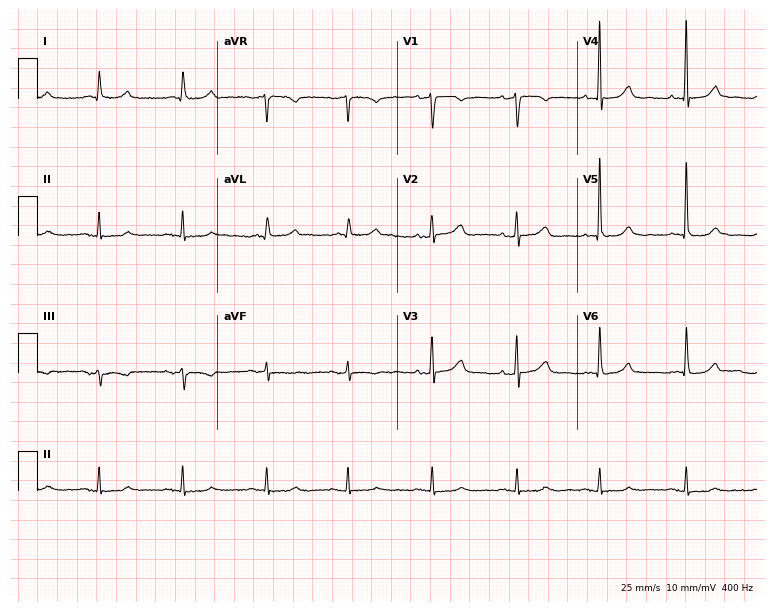
ECG (7.3-second recording at 400 Hz) — a female, 67 years old. Screened for six findings — first-degree AV block, right bundle branch block, left bundle branch block, sinus bradycardia, atrial fibrillation, sinus tachycardia — none is recorded. Other findings, if any, are not listed.